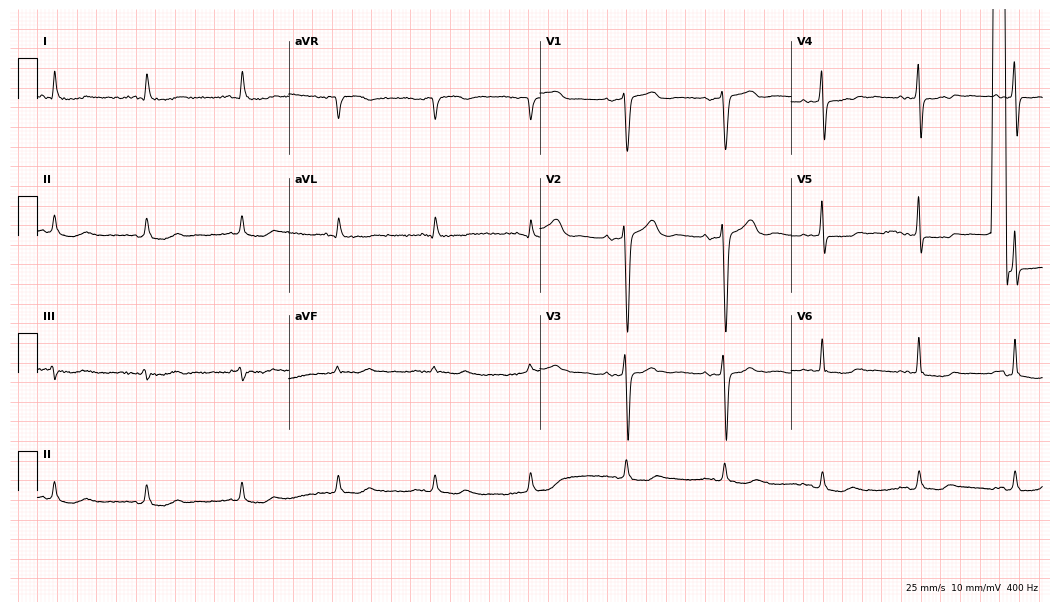
12-lead ECG (10.2-second recording at 400 Hz) from a 66-year-old woman. Screened for six findings — first-degree AV block, right bundle branch block, left bundle branch block, sinus bradycardia, atrial fibrillation, sinus tachycardia — none is recorded.